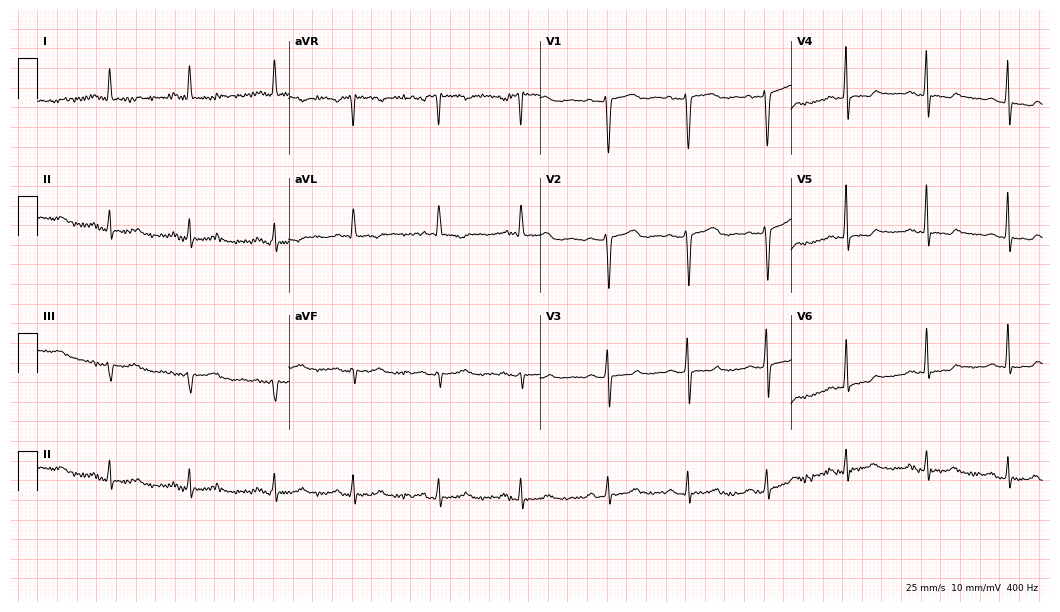
ECG — a female, 52 years old. Screened for six findings — first-degree AV block, right bundle branch block (RBBB), left bundle branch block (LBBB), sinus bradycardia, atrial fibrillation (AF), sinus tachycardia — none is recorded. Findings outside these six are not listed.